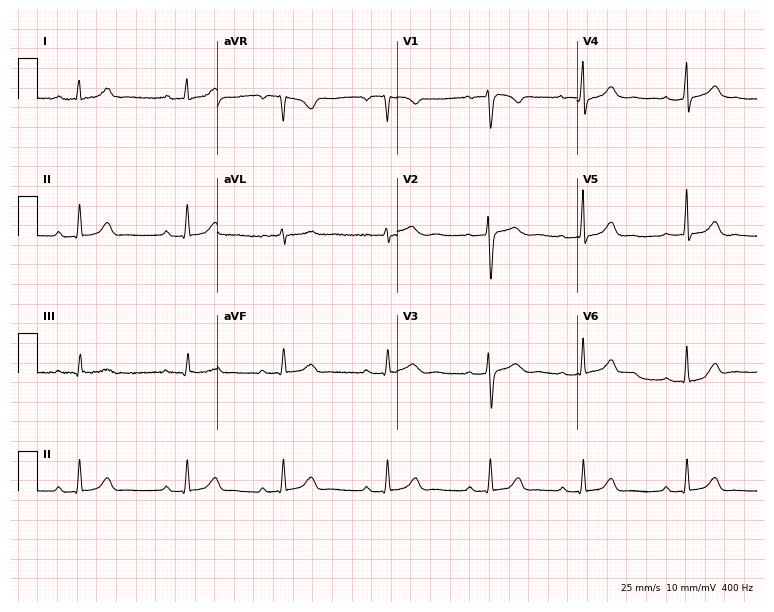
ECG (7.3-second recording at 400 Hz) — a 32-year-old woman. Screened for six findings — first-degree AV block, right bundle branch block (RBBB), left bundle branch block (LBBB), sinus bradycardia, atrial fibrillation (AF), sinus tachycardia — none is recorded. Other findings, if any, are not listed.